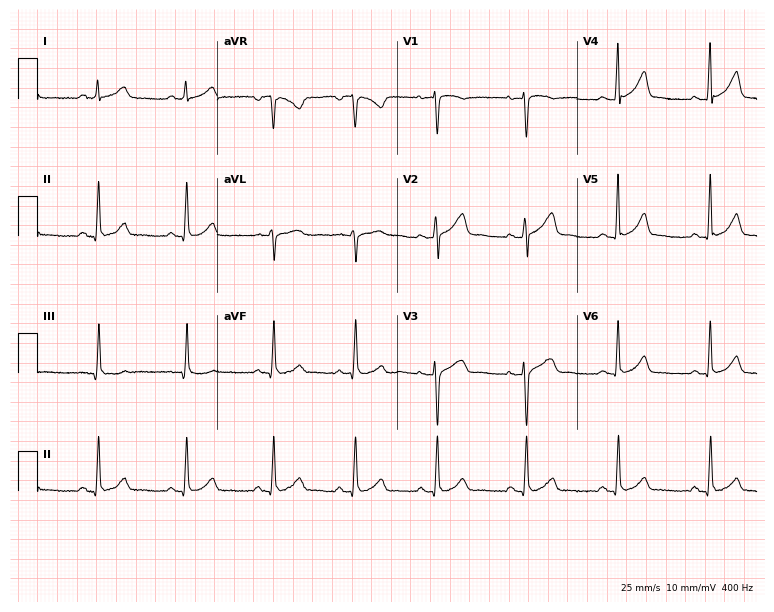
12-lead ECG from a 42-year-old woman (7.3-second recording at 400 Hz). Recorded interpretation: within normal limits.